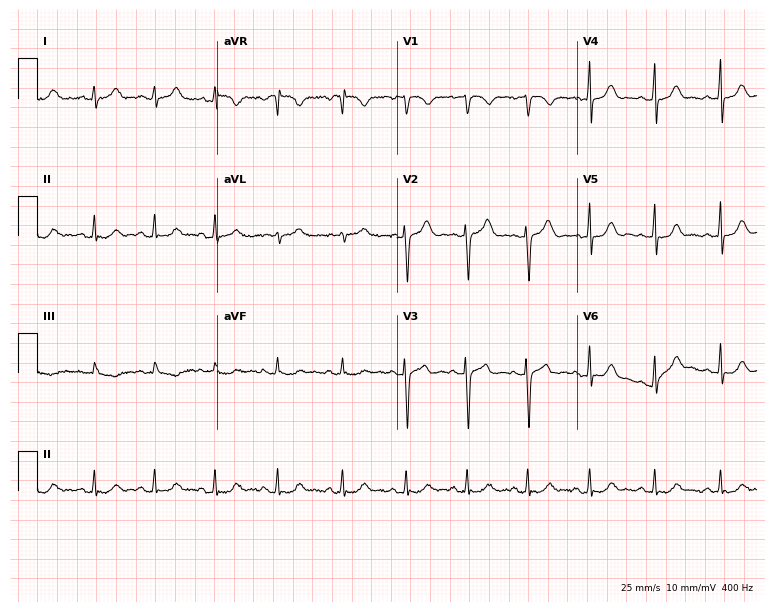
ECG (7.3-second recording at 400 Hz) — a female patient, 22 years old. Labelled as a normal ECG.